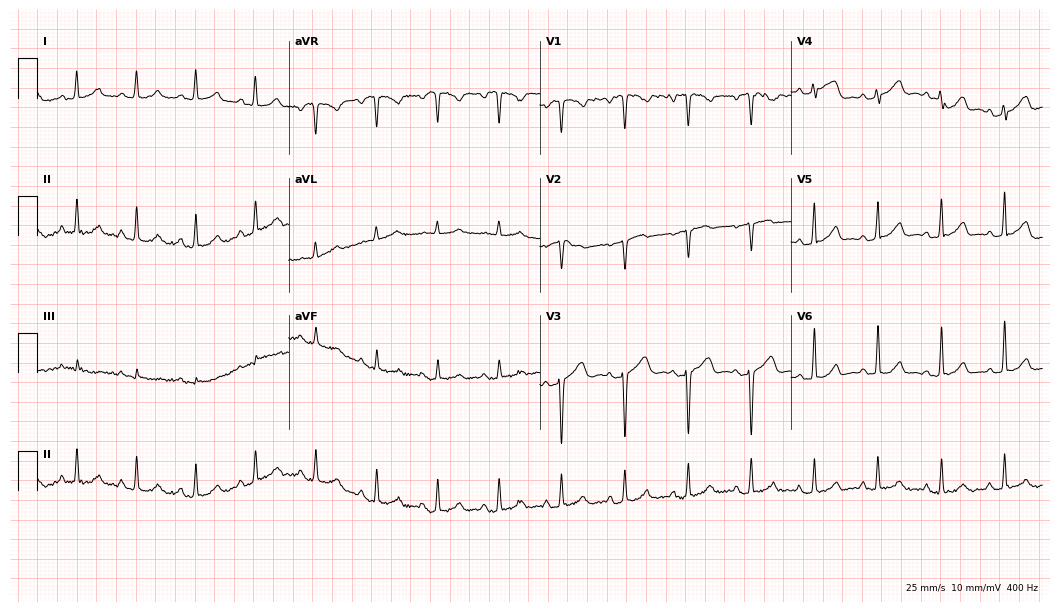
12-lead ECG from a female, 40 years old. Recorded interpretation: within normal limits.